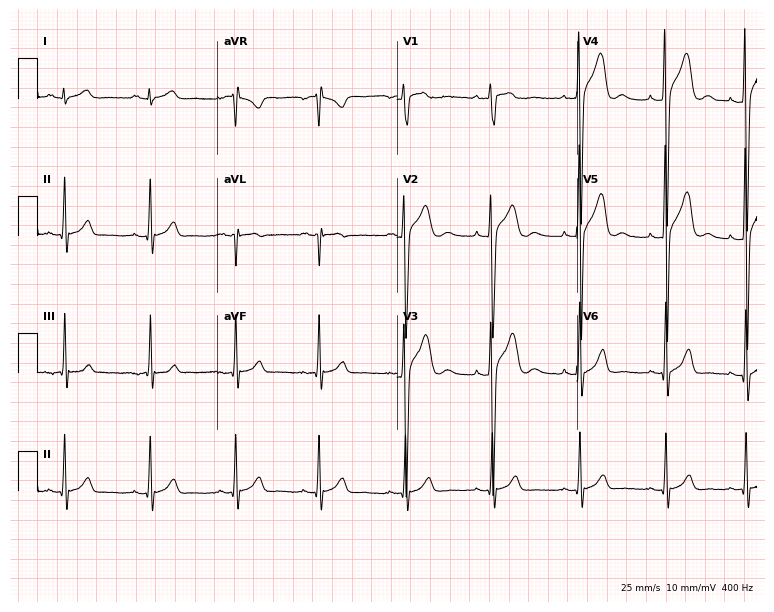
Standard 12-lead ECG recorded from an 18-year-old man. Read as a normal ECG.